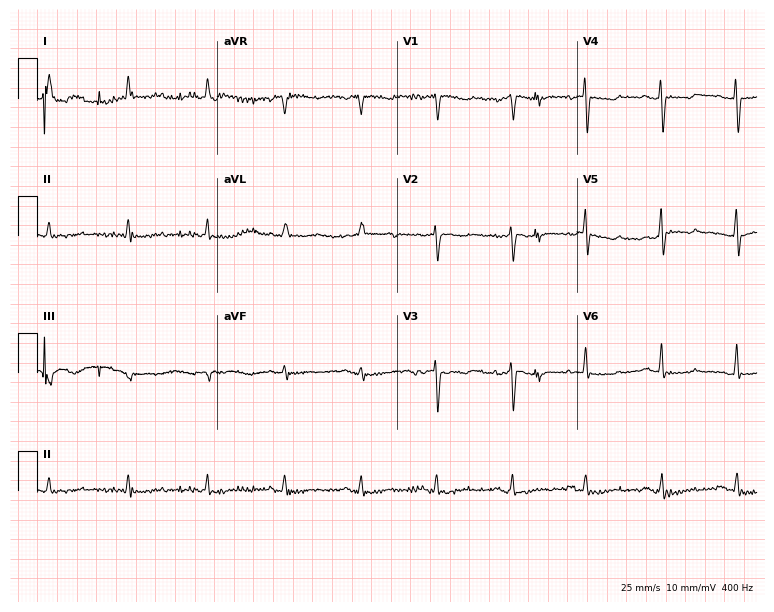
ECG (7.3-second recording at 400 Hz) — a 70-year-old woman. Screened for six findings — first-degree AV block, right bundle branch block, left bundle branch block, sinus bradycardia, atrial fibrillation, sinus tachycardia — none is recorded.